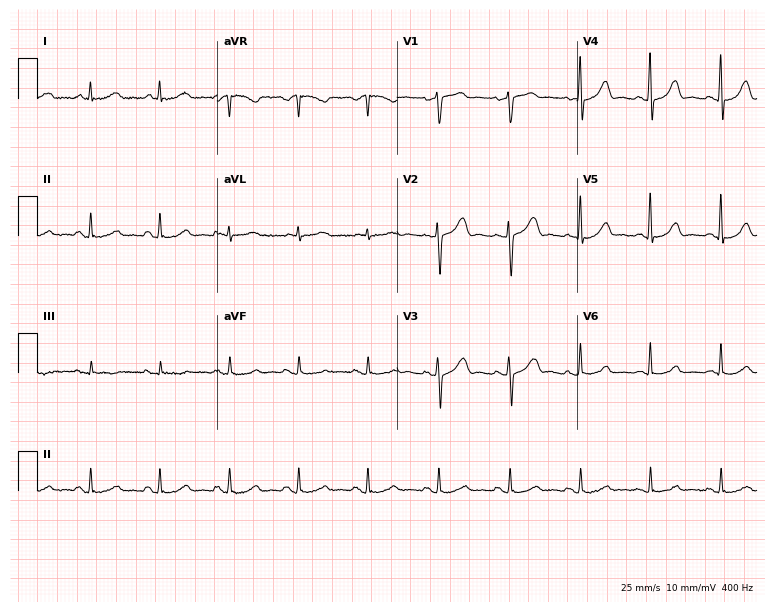
12-lead ECG from a male patient, 56 years old. Screened for six findings — first-degree AV block, right bundle branch block, left bundle branch block, sinus bradycardia, atrial fibrillation, sinus tachycardia — none is recorded. Other findings, if any, are not listed.